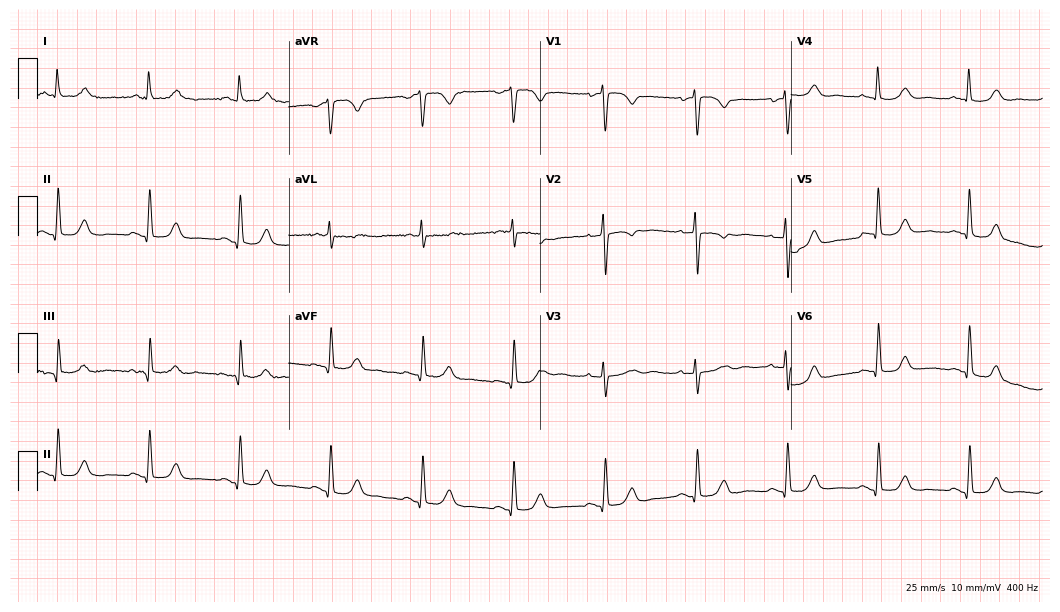
12-lead ECG from an 82-year-old female patient. Recorded interpretation: within normal limits.